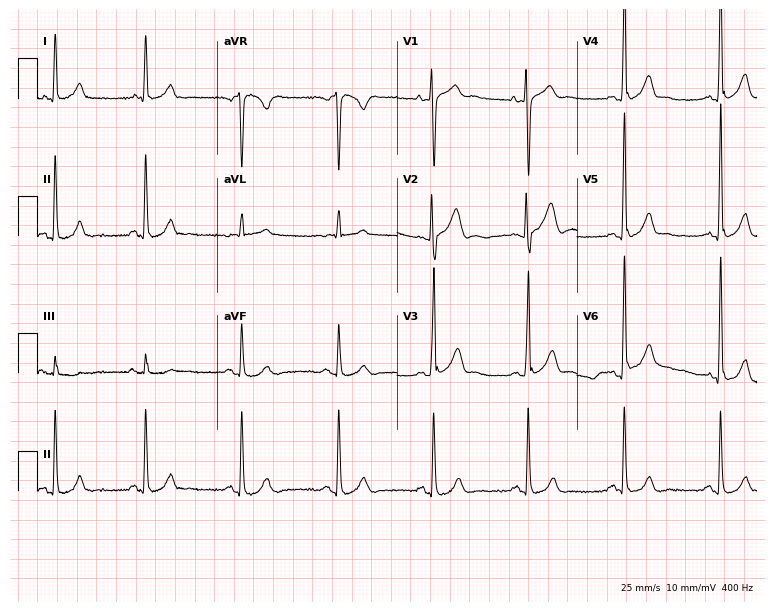
Resting 12-lead electrocardiogram (7.3-second recording at 400 Hz). Patient: a 38-year-old male. None of these six findings is recorded: first-degree AV block, right bundle branch block, left bundle branch block, sinus bradycardia, atrial fibrillation, sinus tachycardia.